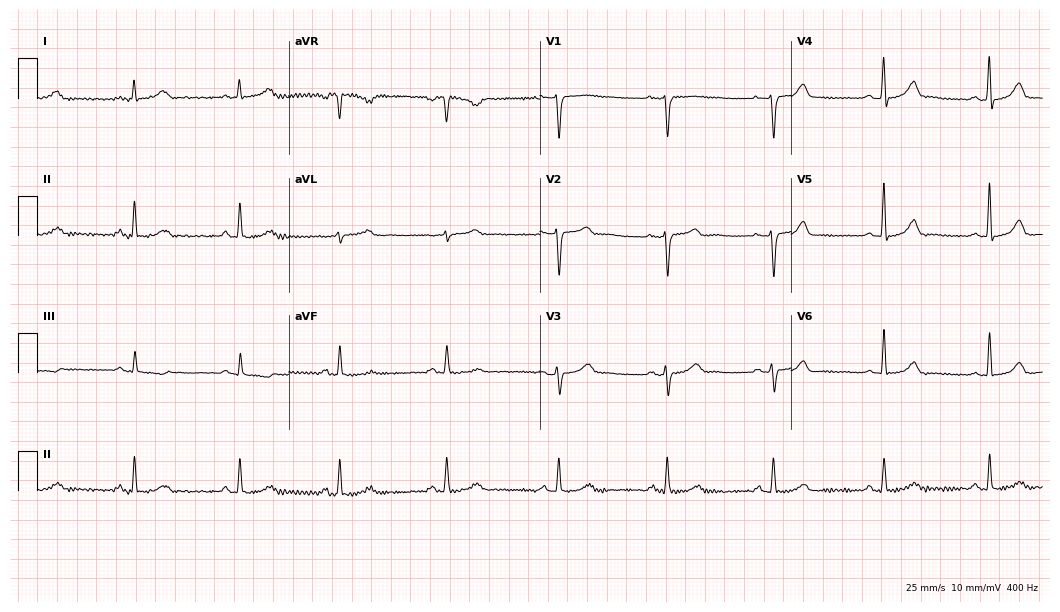
Standard 12-lead ECG recorded from a female, 33 years old. Read as a normal ECG.